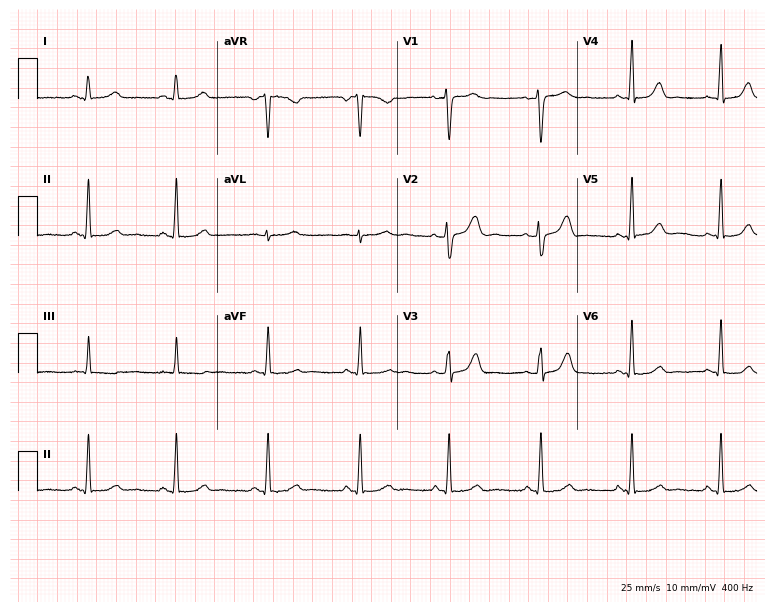
Resting 12-lead electrocardiogram. Patient: a female, 39 years old. None of these six findings is recorded: first-degree AV block, right bundle branch block, left bundle branch block, sinus bradycardia, atrial fibrillation, sinus tachycardia.